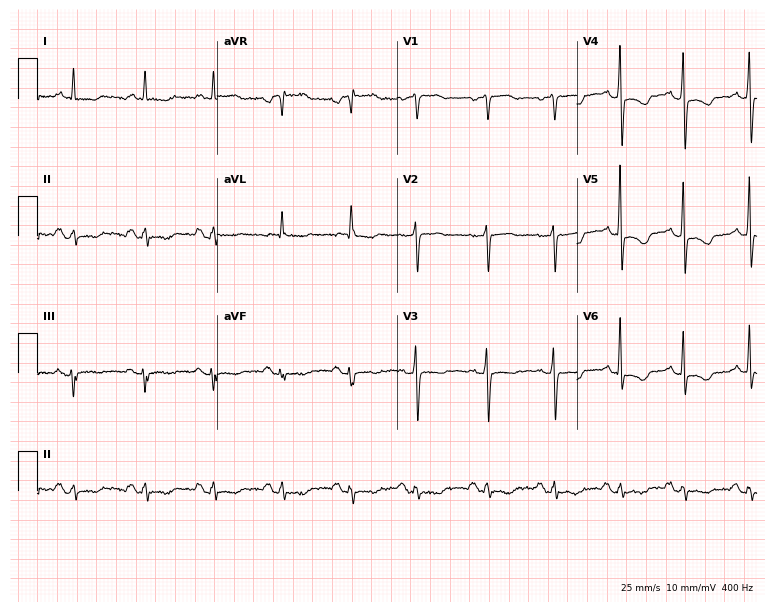
12-lead ECG from a 76-year-old female patient. Recorded interpretation: within normal limits.